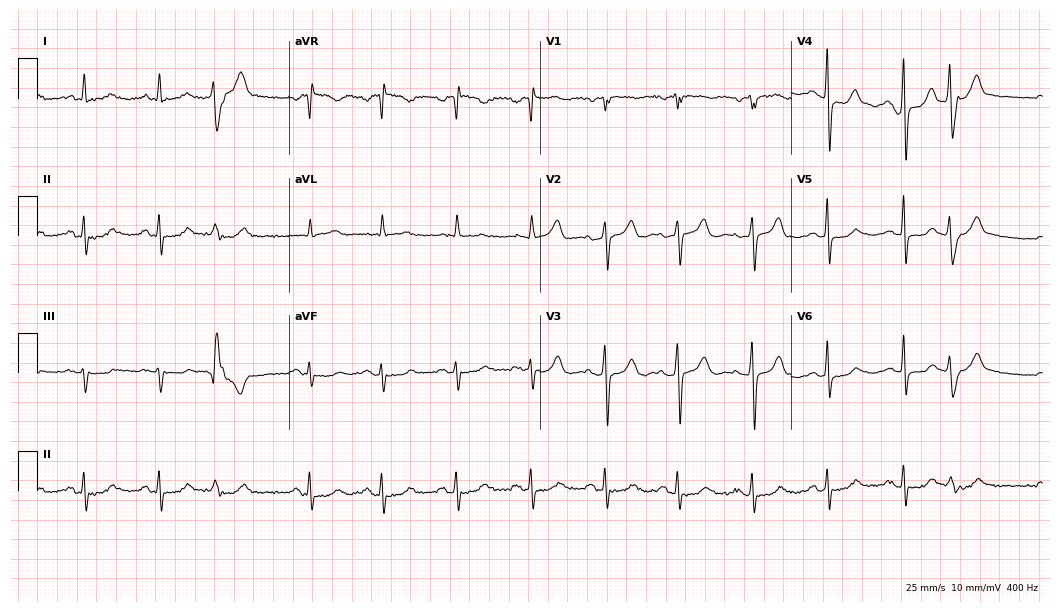
ECG (10.2-second recording at 400 Hz) — a male patient, 73 years old. Screened for six findings — first-degree AV block, right bundle branch block, left bundle branch block, sinus bradycardia, atrial fibrillation, sinus tachycardia — none is recorded. Findings outside these six are not listed.